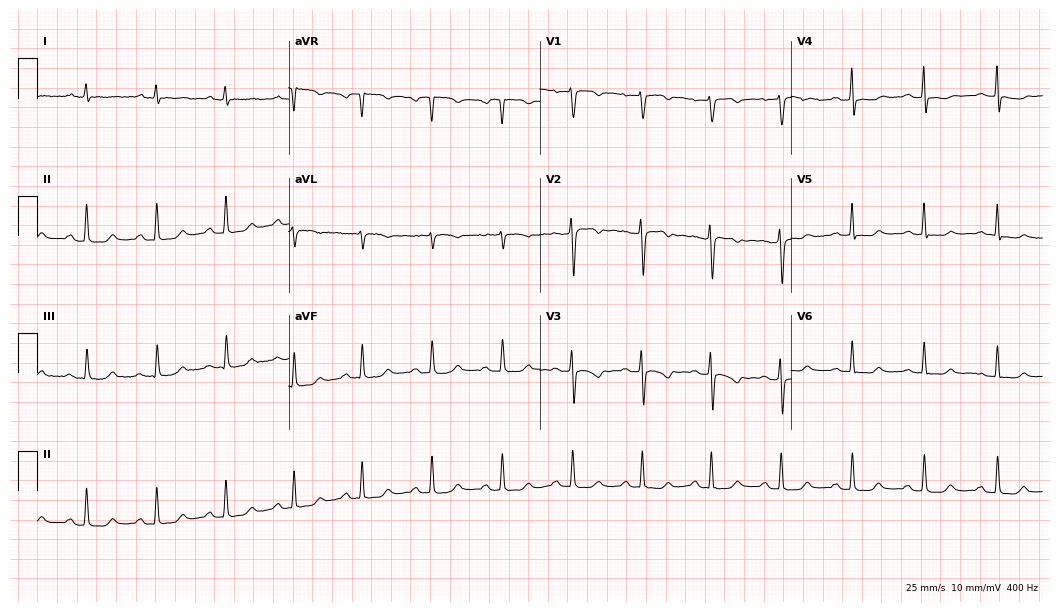
12-lead ECG from a female patient, 48 years old. Screened for six findings — first-degree AV block, right bundle branch block (RBBB), left bundle branch block (LBBB), sinus bradycardia, atrial fibrillation (AF), sinus tachycardia — none is recorded. Only these six findings were labelled.